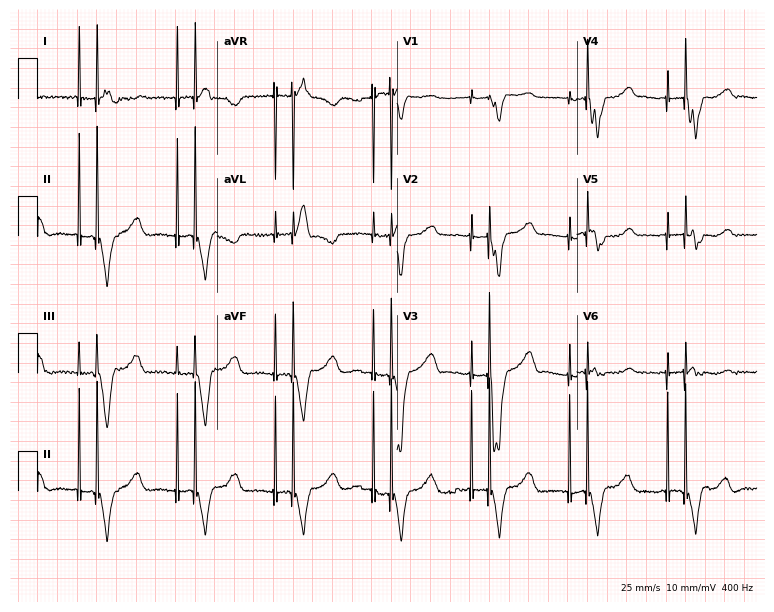
12-lead ECG from a 66-year-old female patient (7.3-second recording at 400 Hz). No first-degree AV block, right bundle branch block (RBBB), left bundle branch block (LBBB), sinus bradycardia, atrial fibrillation (AF) or sinus tachycardia recorded for this tracing. Other findings, if any, are not listed.